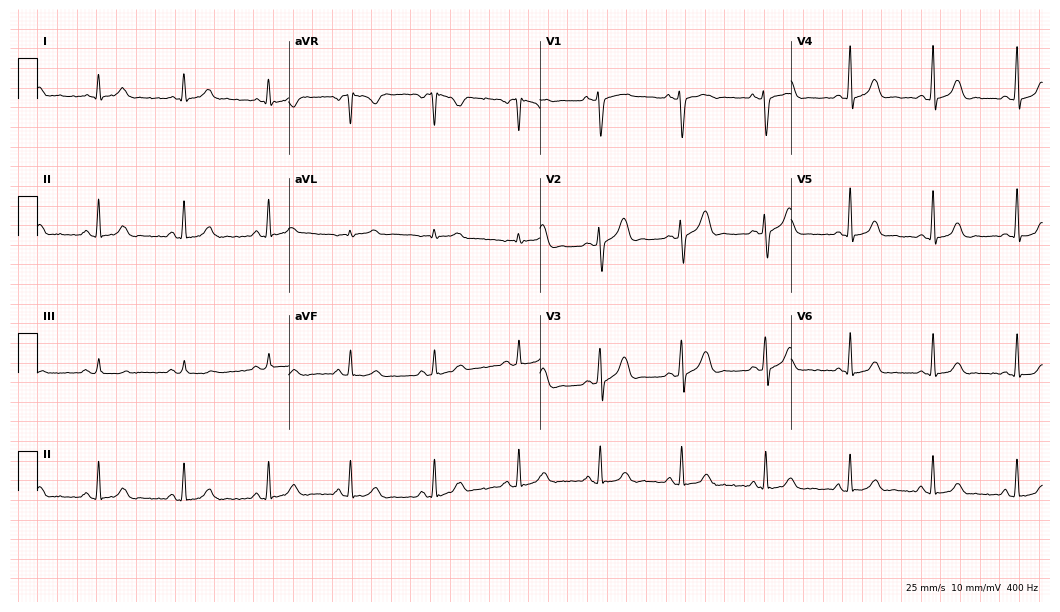
Resting 12-lead electrocardiogram (10.2-second recording at 400 Hz). Patient: a 30-year-old female. Read as a normal ECG.